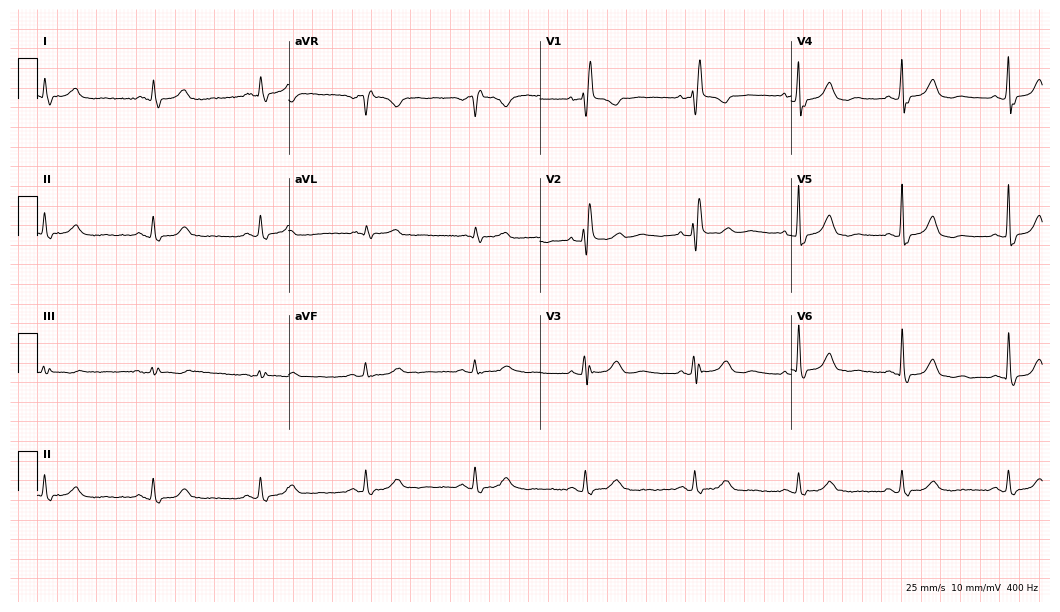
Resting 12-lead electrocardiogram. Patient: a 79-year-old female. The tracing shows right bundle branch block.